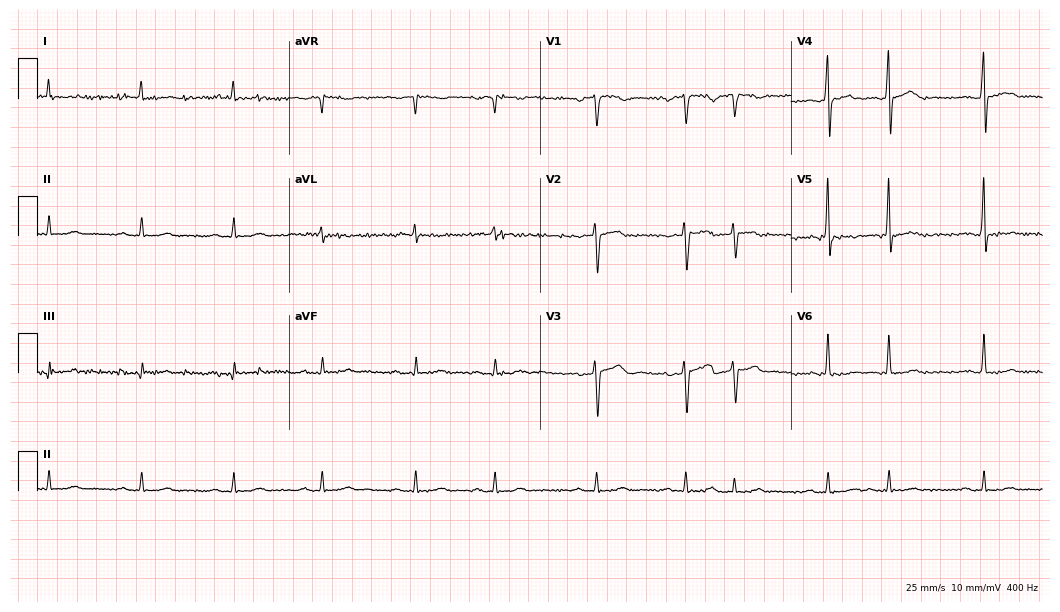
Resting 12-lead electrocardiogram (10.2-second recording at 400 Hz). Patient: a man, 82 years old. None of these six findings is recorded: first-degree AV block, right bundle branch block, left bundle branch block, sinus bradycardia, atrial fibrillation, sinus tachycardia. Findings outside these six are not listed.